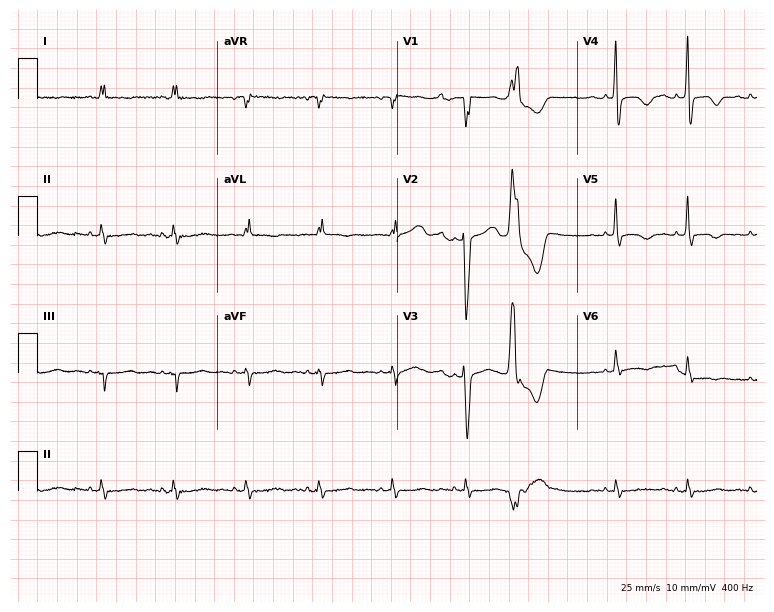
Resting 12-lead electrocardiogram. Patient: a male, 67 years old. None of these six findings is recorded: first-degree AV block, right bundle branch block, left bundle branch block, sinus bradycardia, atrial fibrillation, sinus tachycardia.